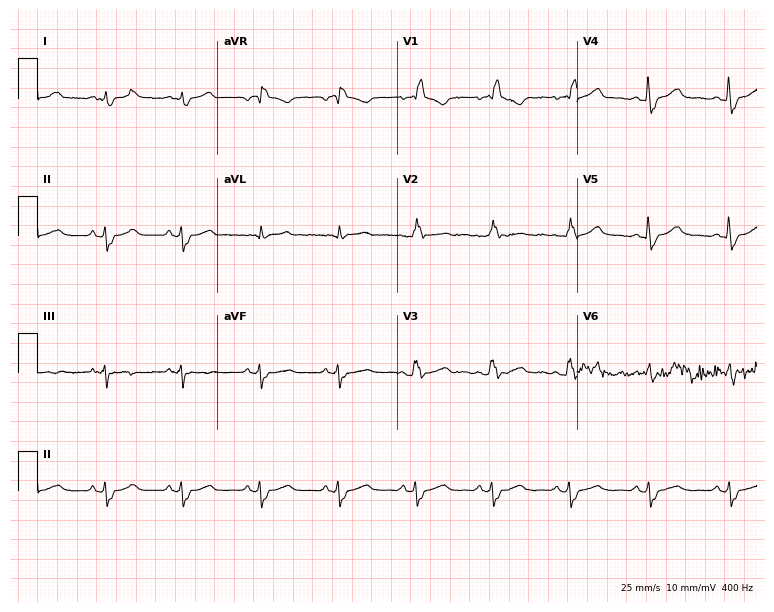
ECG (7.3-second recording at 400 Hz) — a 46-year-old female. Findings include right bundle branch block.